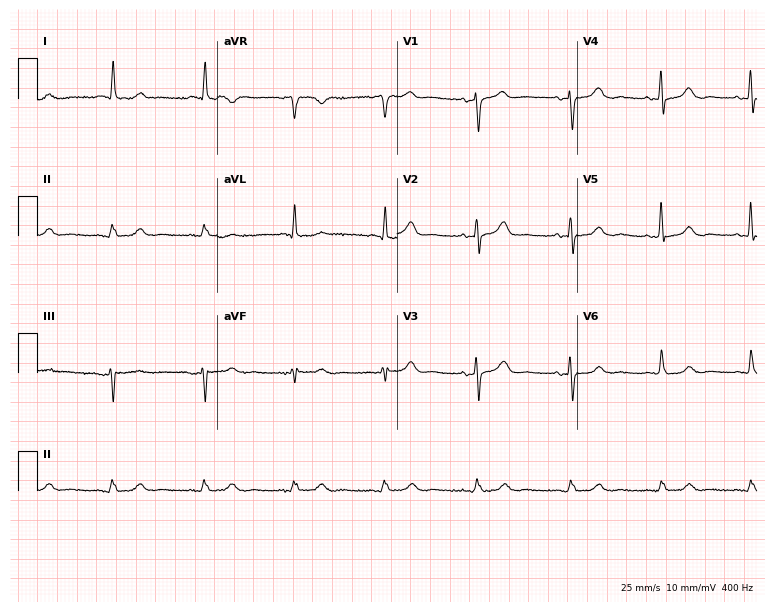
12-lead ECG from a 72-year-old female (7.3-second recording at 400 Hz). Recorded interpretation: within normal limits.